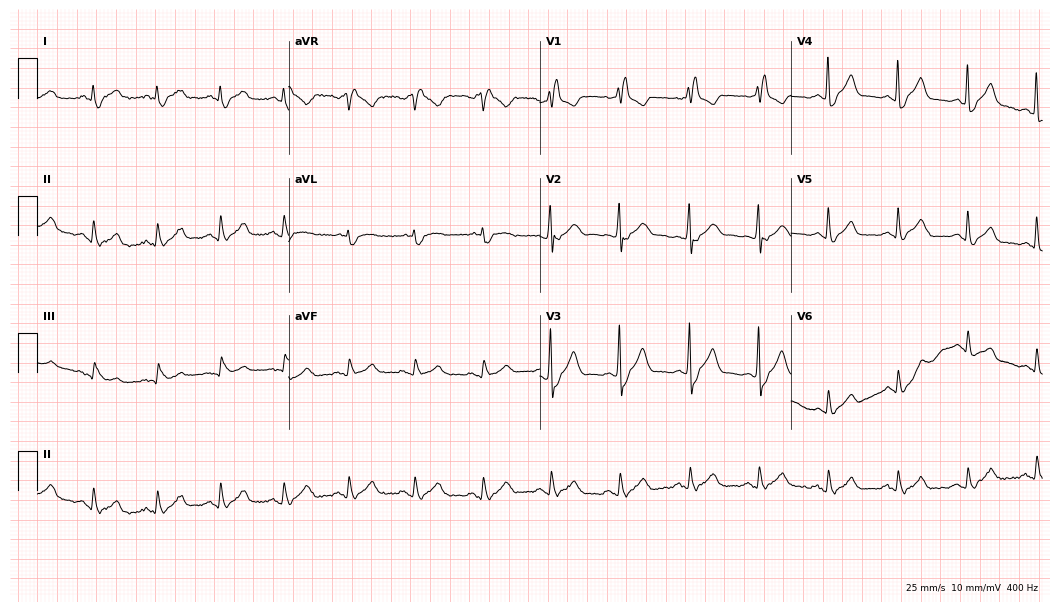
12-lead ECG from a female, 62 years old. Findings include right bundle branch block (RBBB).